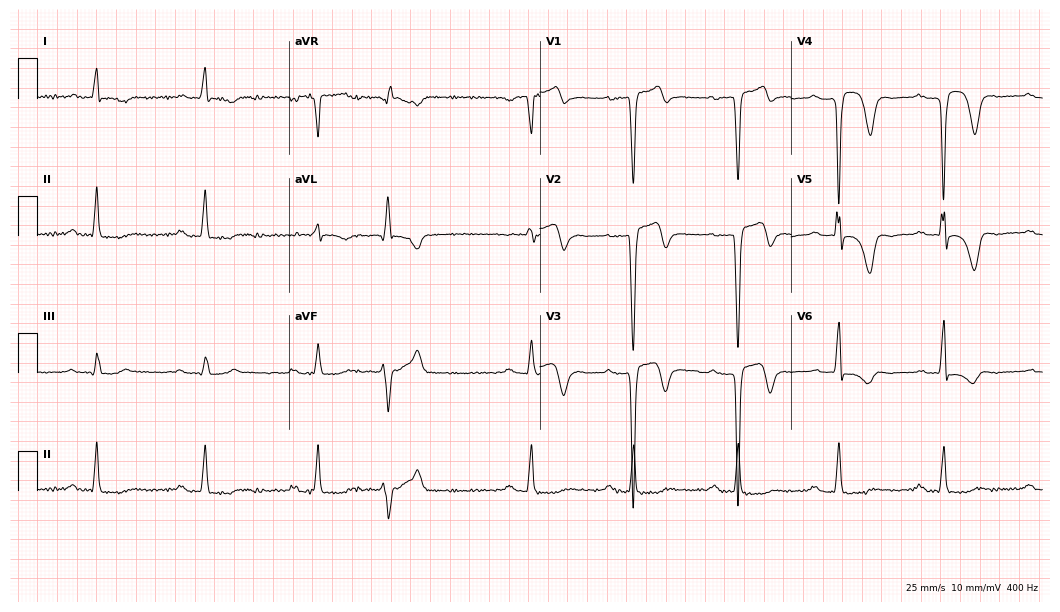
ECG — a male, 74 years old. Findings include first-degree AV block.